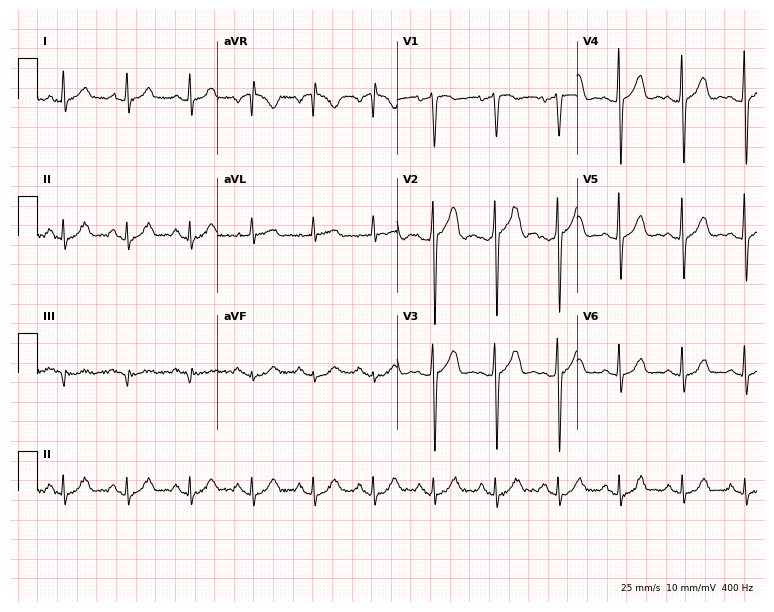
ECG (7.3-second recording at 400 Hz) — a 44-year-old female. Labelled as a normal ECG.